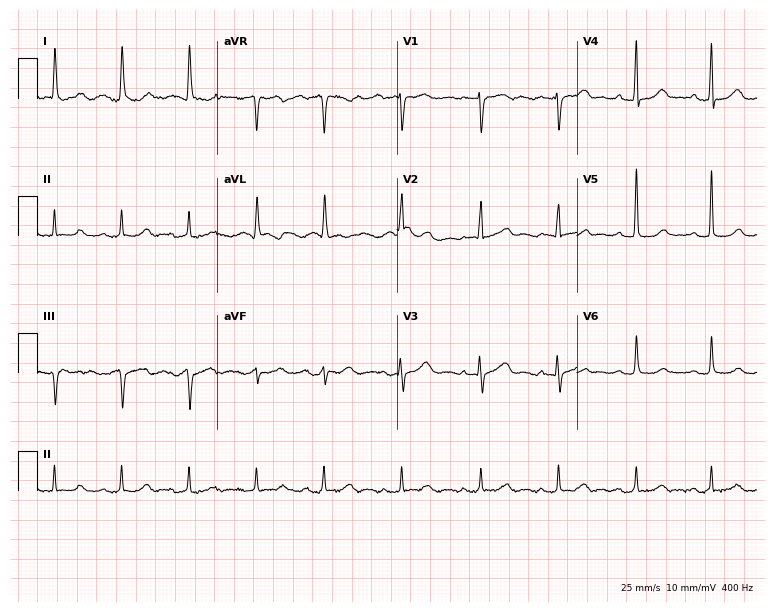
Standard 12-lead ECG recorded from a female, 83 years old. Read as a normal ECG.